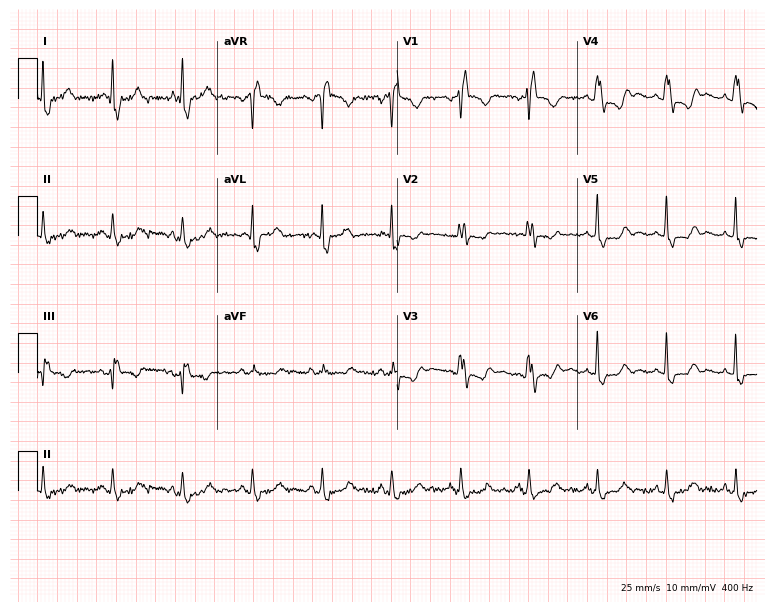
12-lead ECG from a 50-year-old female (7.3-second recording at 400 Hz). Shows right bundle branch block (RBBB).